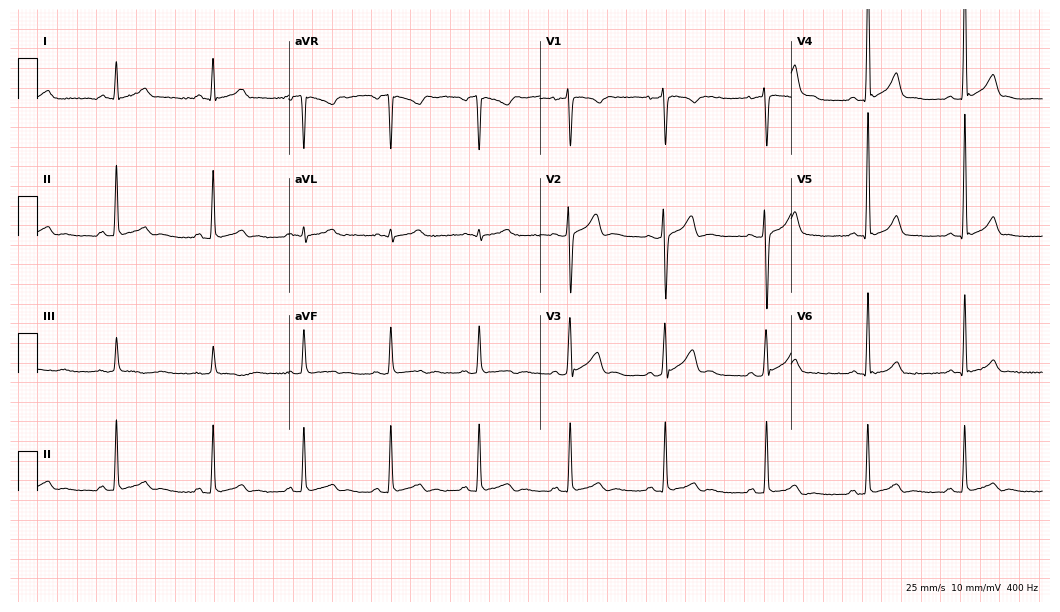
Electrocardiogram, a man, 27 years old. Overall reading on record: normal ECG.